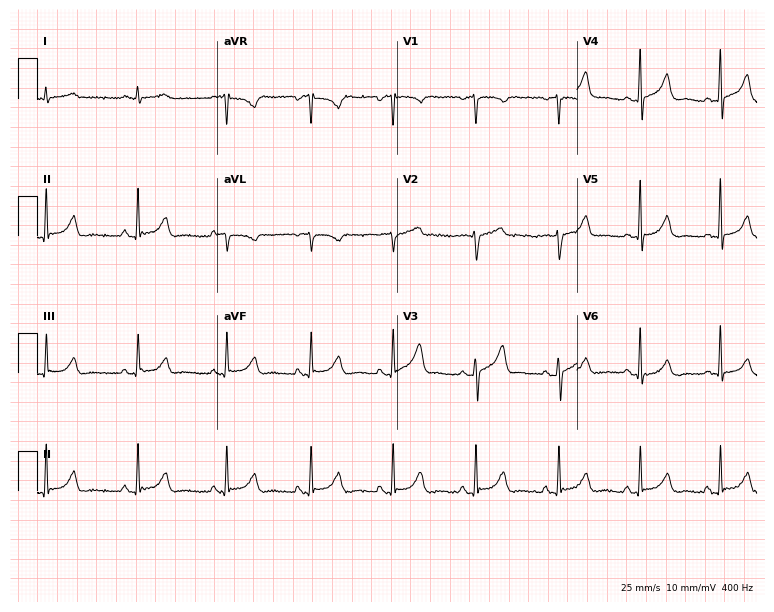
Electrocardiogram, a man, 55 years old. Overall reading on record: normal ECG.